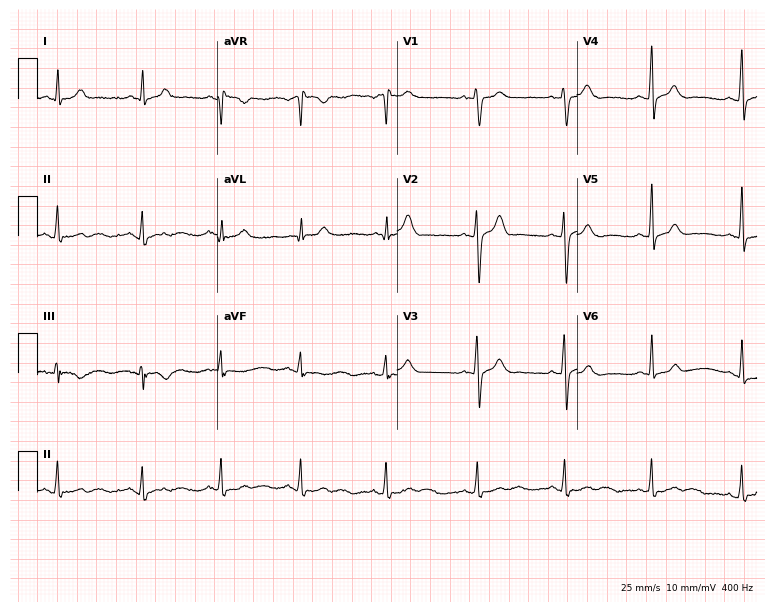
12-lead ECG from a male, 22 years old. Labelled as a normal ECG.